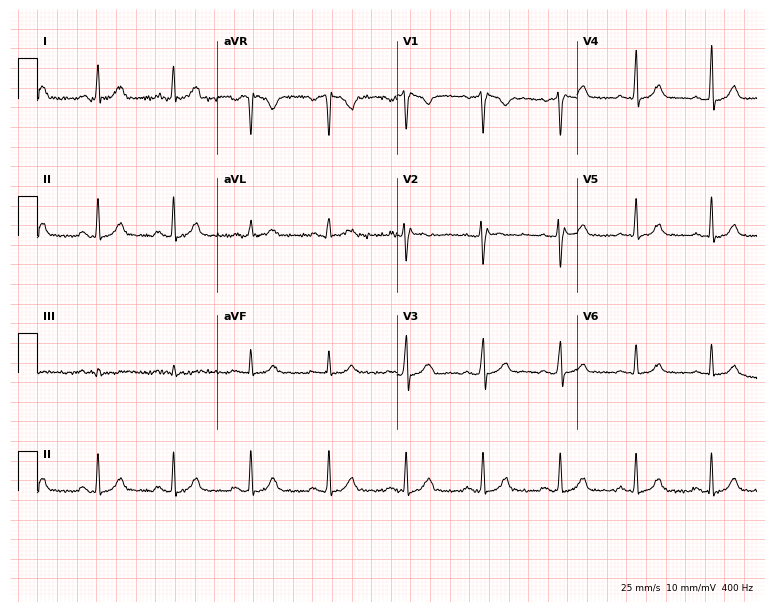
Electrocardiogram, a woman, 35 years old. Of the six screened findings (first-degree AV block, right bundle branch block, left bundle branch block, sinus bradycardia, atrial fibrillation, sinus tachycardia), none is recorded. Findings outside these six are not listed.